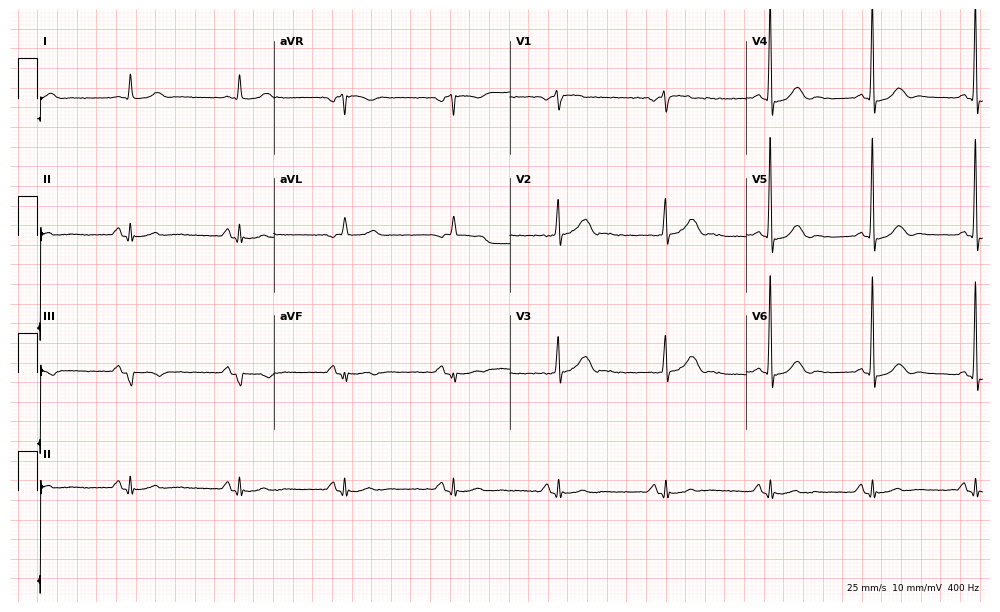
Electrocardiogram (9.6-second recording at 400 Hz), a 77-year-old male patient. Of the six screened findings (first-degree AV block, right bundle branch block, left bundle branch block, sinus bradycardia, atrial fibrillation, sinus tachycardia), none is recorded.